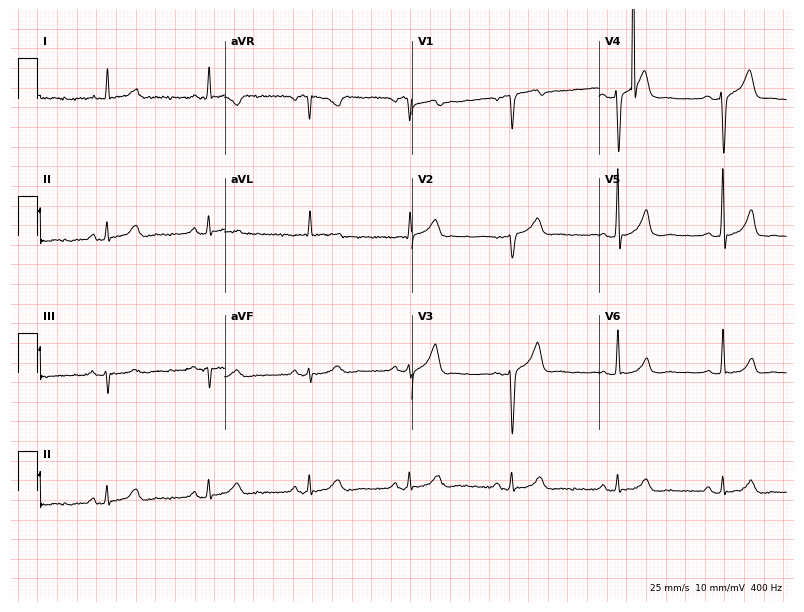
ECG (7.6-second recording at 400 Hz) — a male, 76 years old. Screened for six findings — first-degree AV block, right bundle branch block, left bundle branch block, sinus bradycardia, atrial fibrillation, sinus tachycardia — none is recorded. Findings outside these six are not listed.